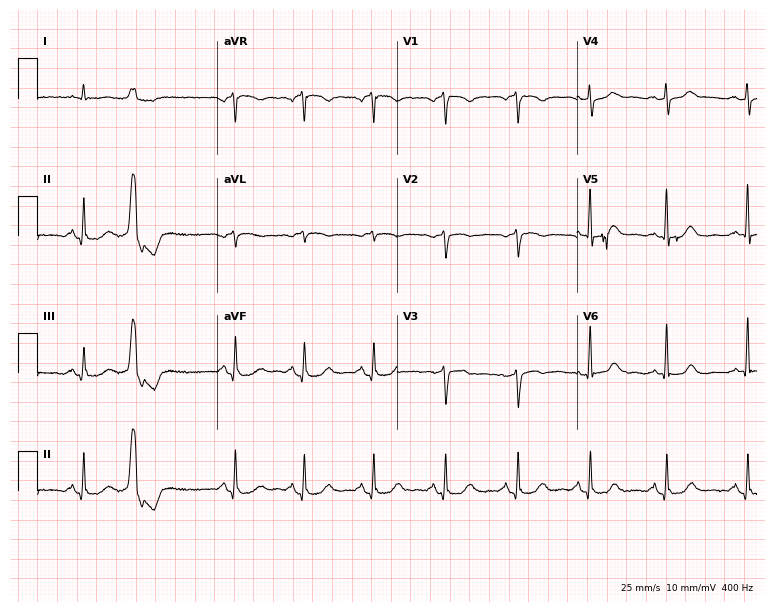
12-lead ECG from a male patient, 77 years old. Screened for six findings — first-degree AV block, right bundle branch block, left bundle branch block, sinus bradycardia, atrial fibrillation, sinus tachycardia — none is recorded.